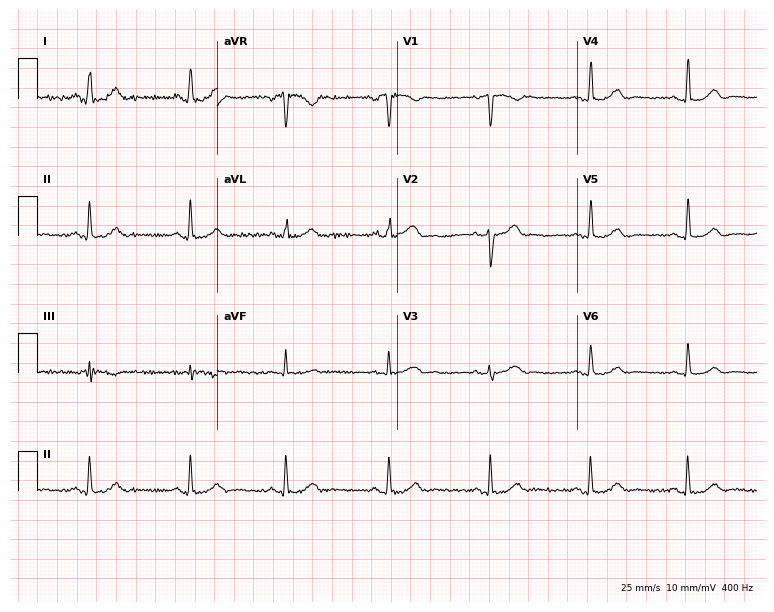
Electrocardiogram (7.3-second recording at 400 Hz), a woman, 38 years old. Overall reading on record: normal ECG.